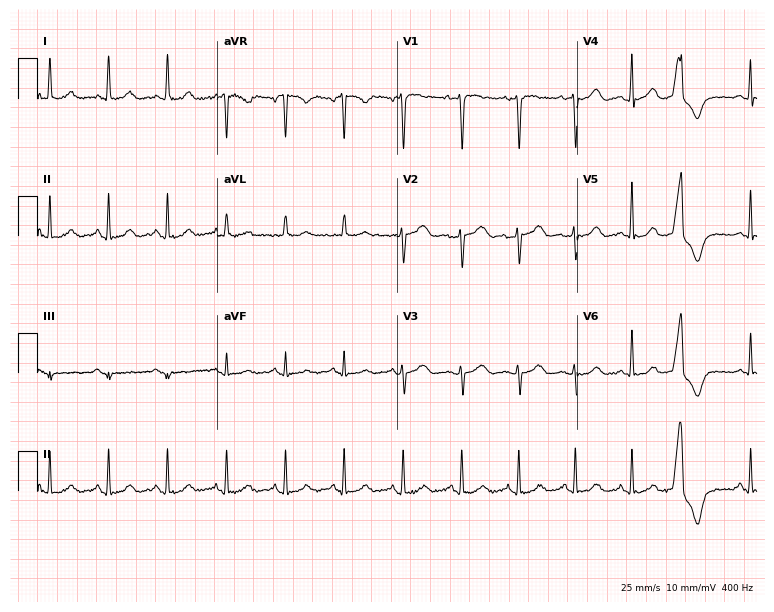
12-lead ECG from a female, 36 years old. Findings include sinus tachycardia (a sinus rate of 100 beats per minute or more).